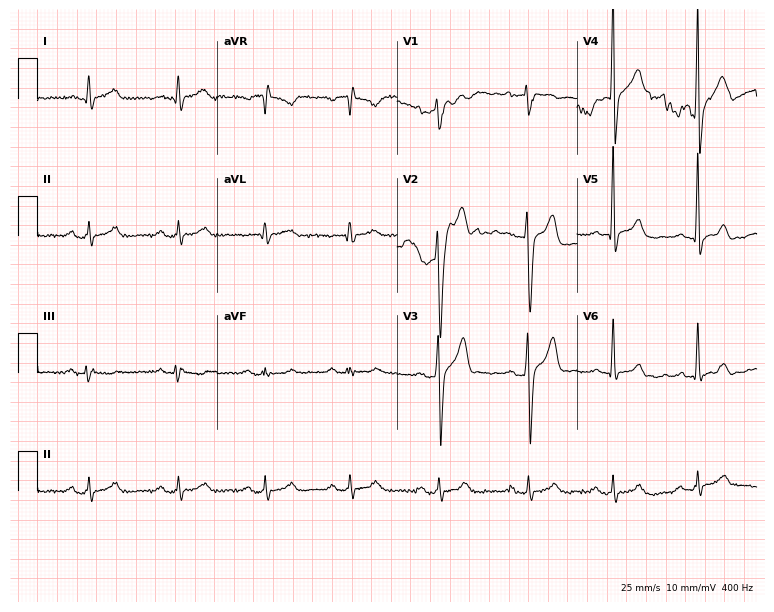
12-lead ECG (7.3-second recording at 400 Hz) from a 39-year-old man. Findings include first-degree AV block.